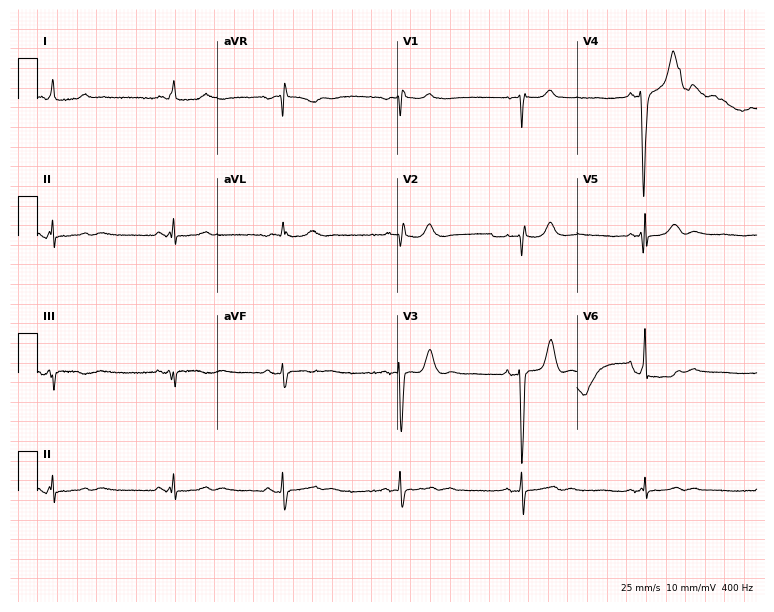
Standard 12-lead ECG recorded from a male patient, 75 years old (7.3-second recording at 400 Hz). The tracing shows sinus bradycardia (a sinus rate of 50 beats per minute or less).